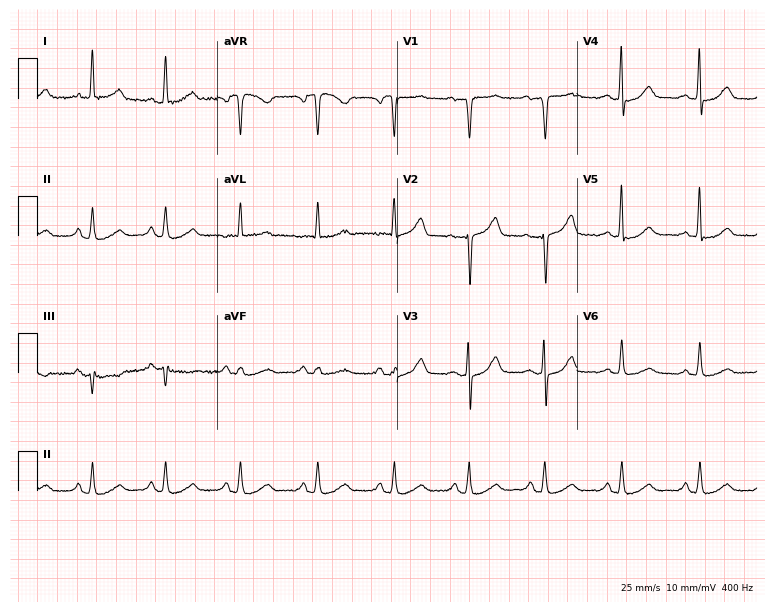
12-lead ECG from a 48-year-old female patient. Labelled as a normal ECG.